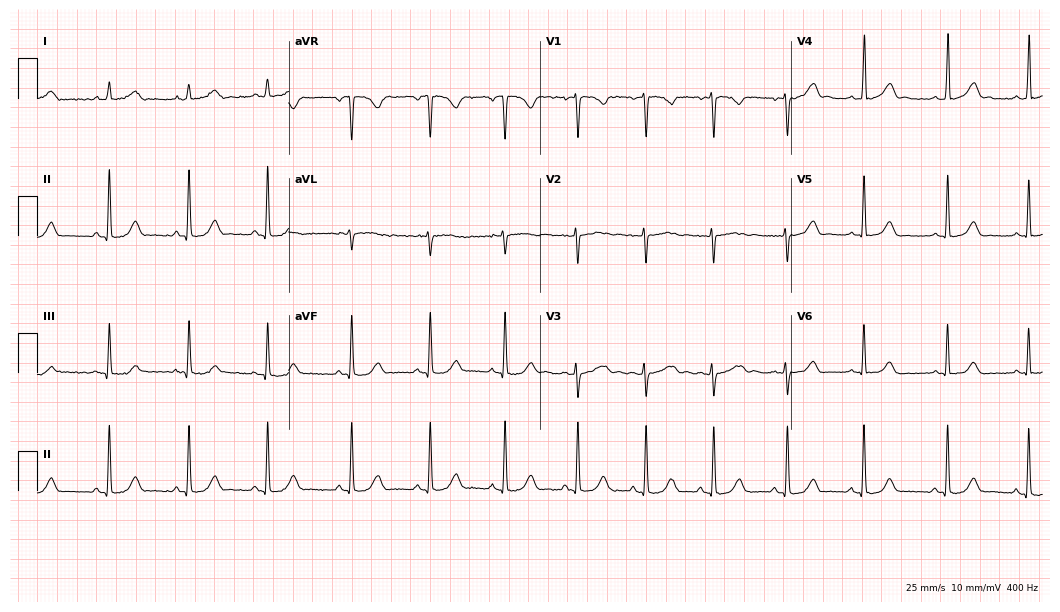
Standard 12-lead ECG recorded from a 19-year-old female. None of these six findings is recorded: first-degree AV block, right bundle branch block, left bundle branch block, sinus bradycardia, atrial fibrillation, sinus tachycardia. Only these six findings were labelled.